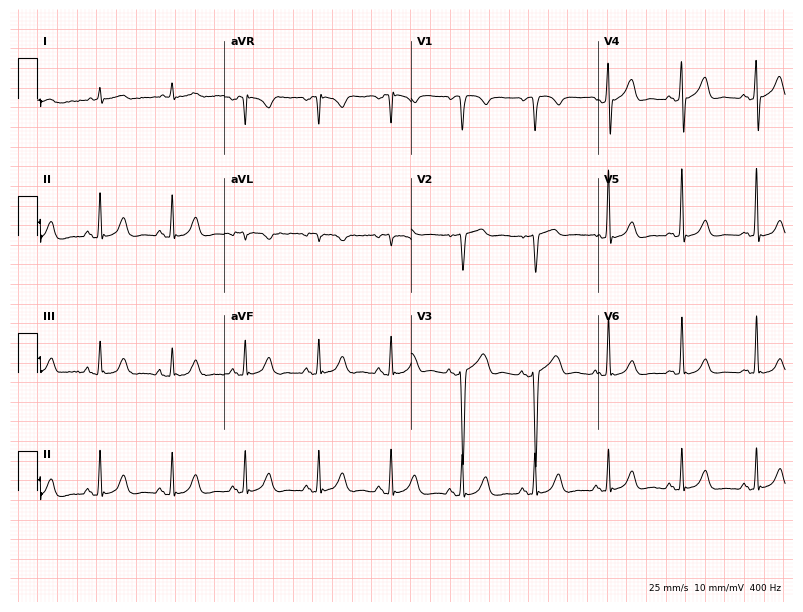
12-lead ECG from an 85-year-old man. No first-degree AV block, right bundle branch block (RBBB), left bundle branch block (LBBB), sinus bradycardia, atrial fibrillation (AF) or sinus tachycardia recorded for this tracing. Only these six findings were labelled.